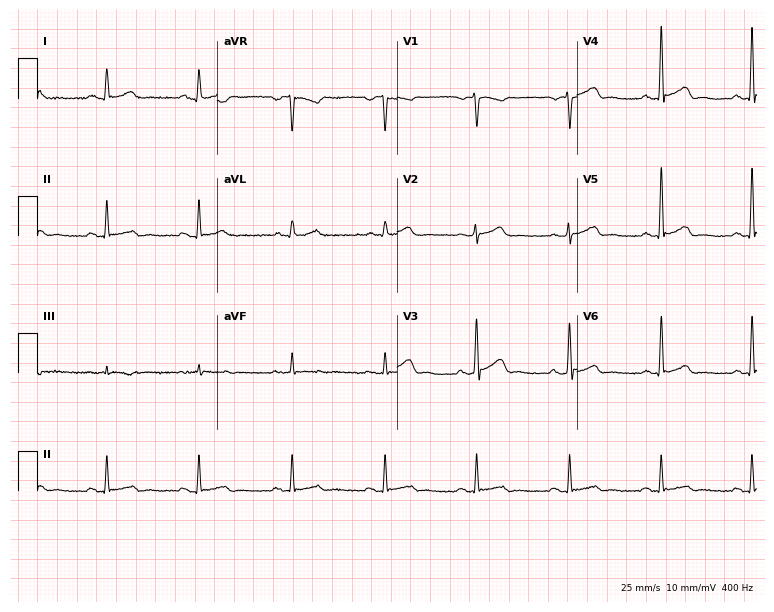
Electrocardiogram (7.3-second recording at 400 Hz), a man, 51 years old. Of the six screened findings (first-degree AV block, right bundle branch block, left bundle branch block, sinus bradycardia, atrial fibrillation, sinus tachycardia), none is recorded. Only these six findings were labelled.